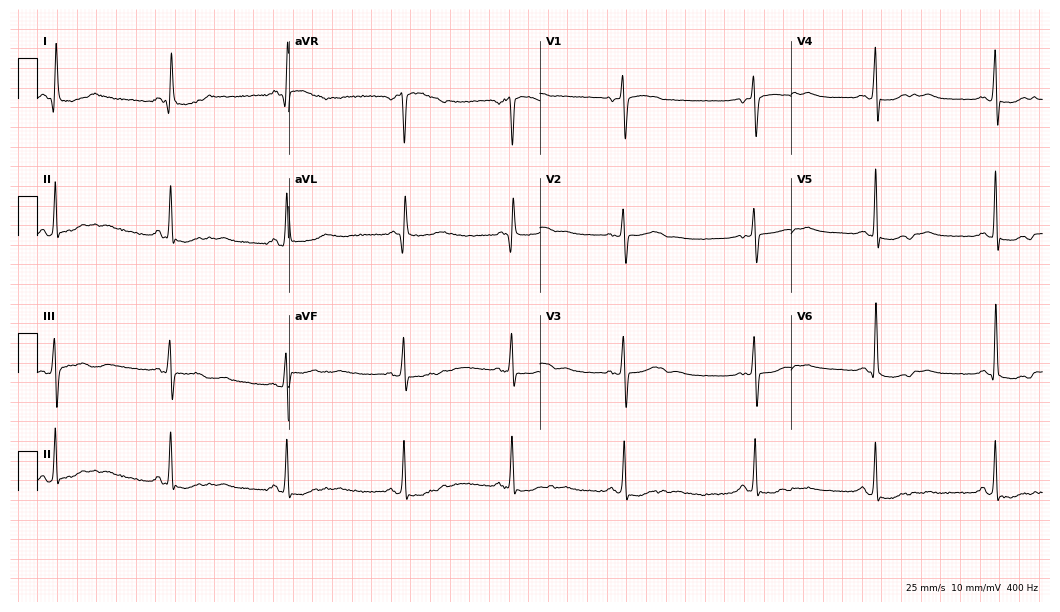
12-lead ECG (10.2-second recording at 400 Hz) from a 62-year-old female. Screened for six findings — first-degree AV block, right bundle branch block, left bundle branch block, sinus bradycardia, atrial fibrillation, sinus tachycardia — none is recorded.